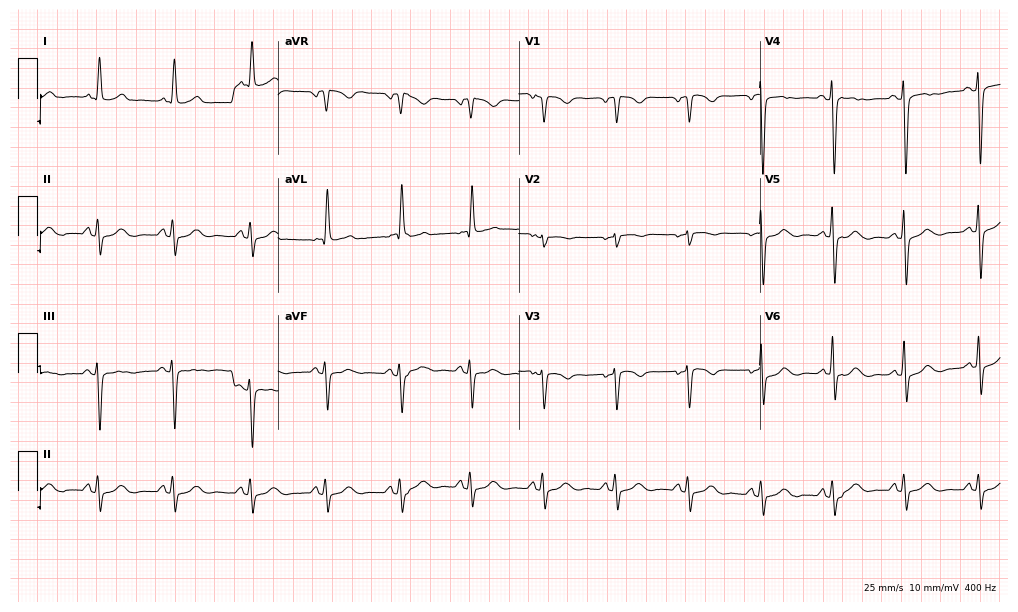
Electrocardiogram (9.8-second recording at 400 Hz), a 74-year-old female patient. Of the six screened findings (first-degree AV block, right bundle branch block, left bundle branch block, sinus bradycardia, atrial fibrillation, sinus tachycardia), none is recorded. Only these six findings were labelled.